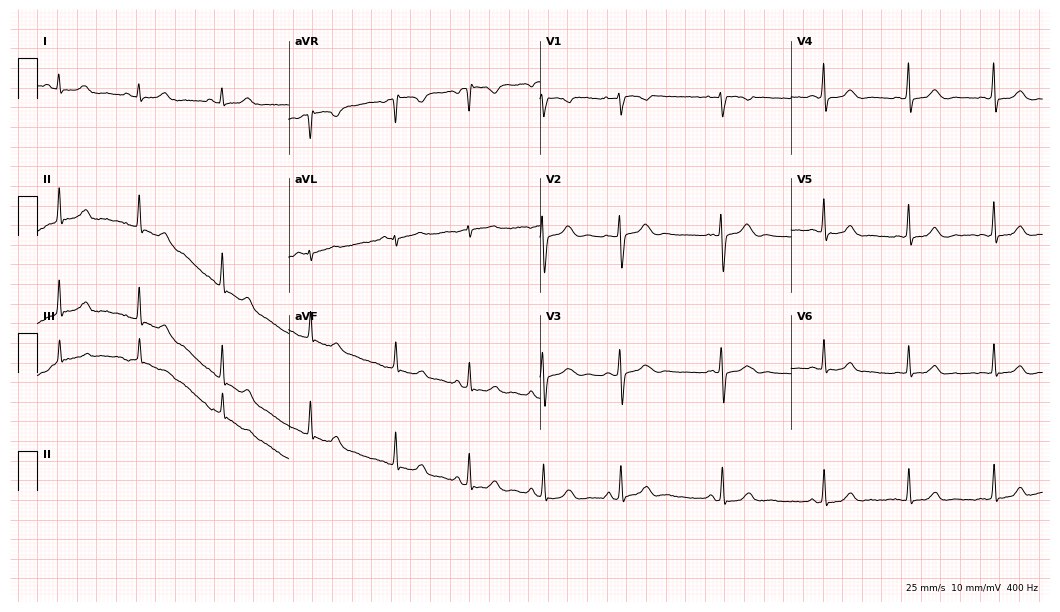
Electrocardiogram, a 24-year-old woman. Overall reading on record: normal ECG.